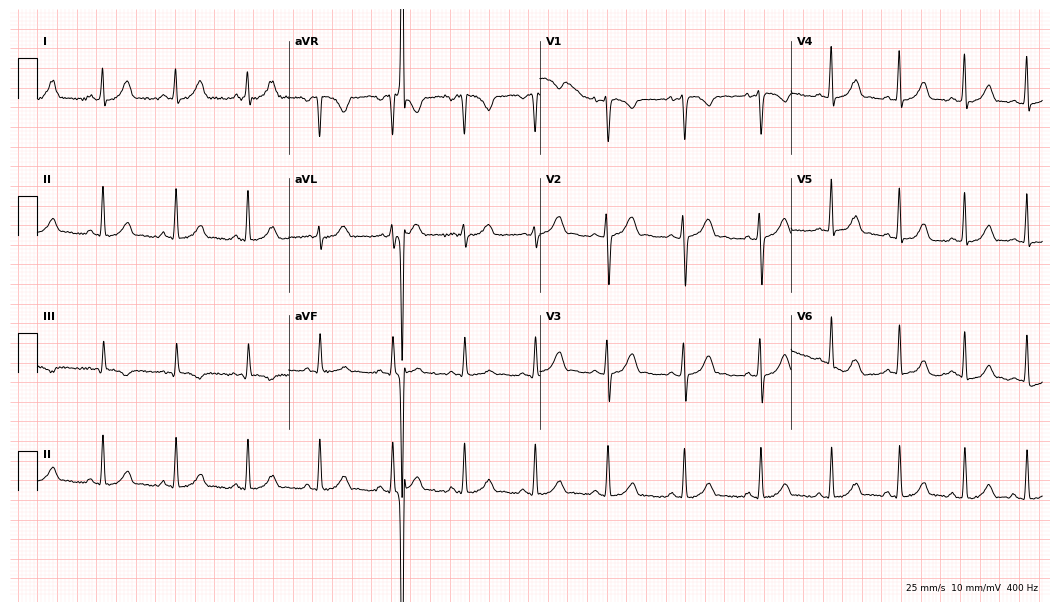
Standard 12-lead ECG recorded from an 18-year-old female. Read as a normal ECG.